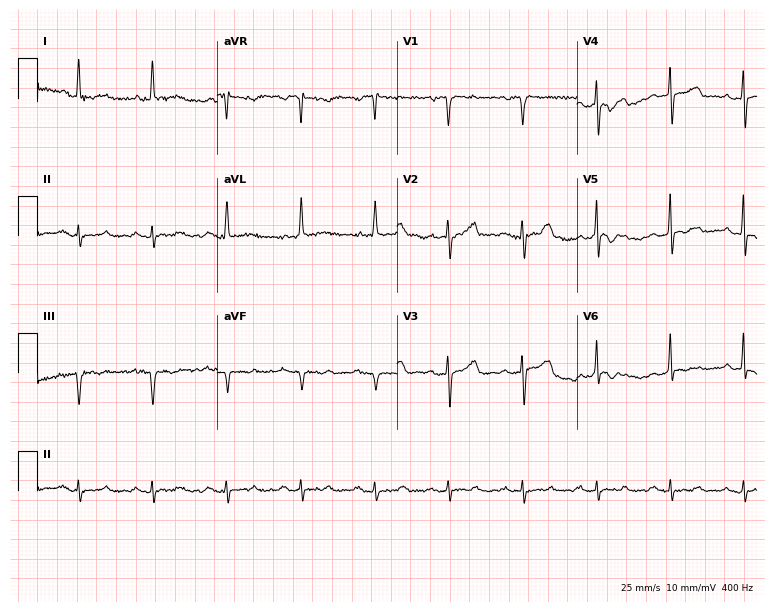
ECG — a 77-year-old male patient. Screened for six findings — first-degree AV block, right bundle branch block (RBBB), left bundle branch block (LBBB), sinus bradycardia, atrial fibrillation (AF), sinus tachycardia — none is recorded.